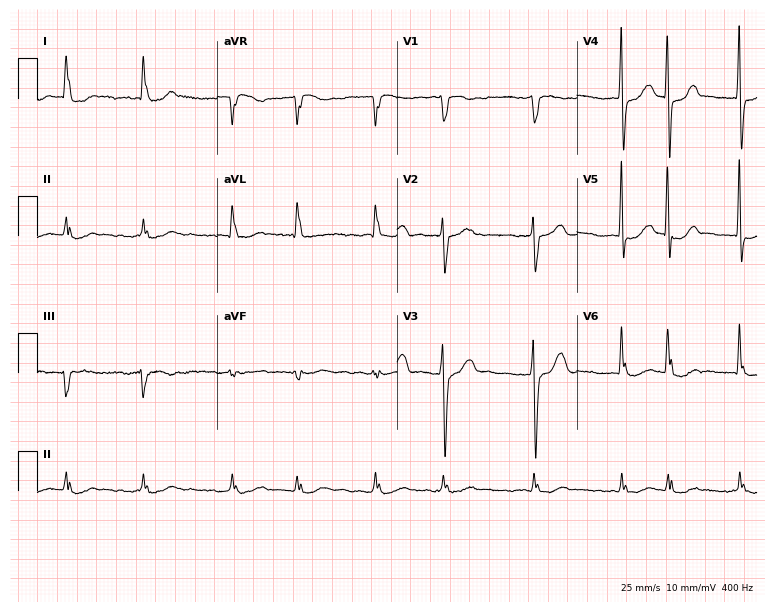
ECG (7.3-second recording at 400 Hz) — a male, 64 years old. Findings include atrial fibrillation.